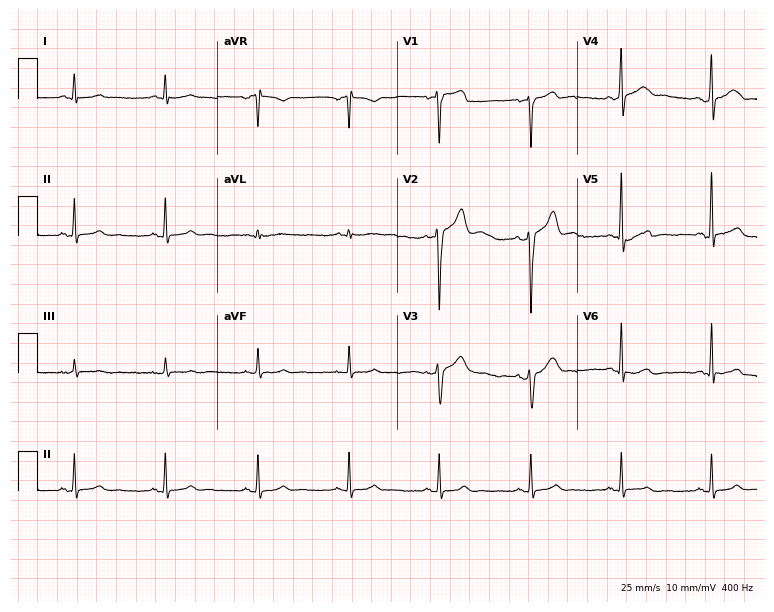
Resting 12-lead electrocardiogram (7.3-second recording at 400 Hz). Patient: a 34-year-old male. None of these six findings is recorded: first-degree AV block, right bundle branch block, left bundle branch block, sinus bradycardia, atrial fibrillation, sinus tachycardia.